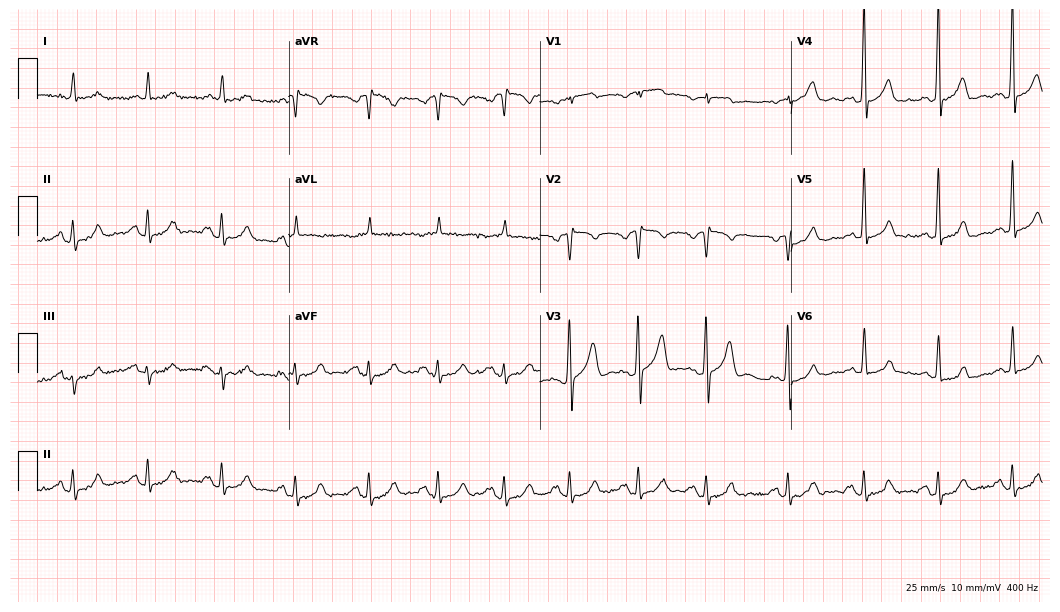
12-lead ECG from a male, 79 years old. No first-degree AV block, right bundle branch block, left bundle branch block, sinus bradycardia, atrial fibrillation or sinus tachycardia recorded for this tracing.